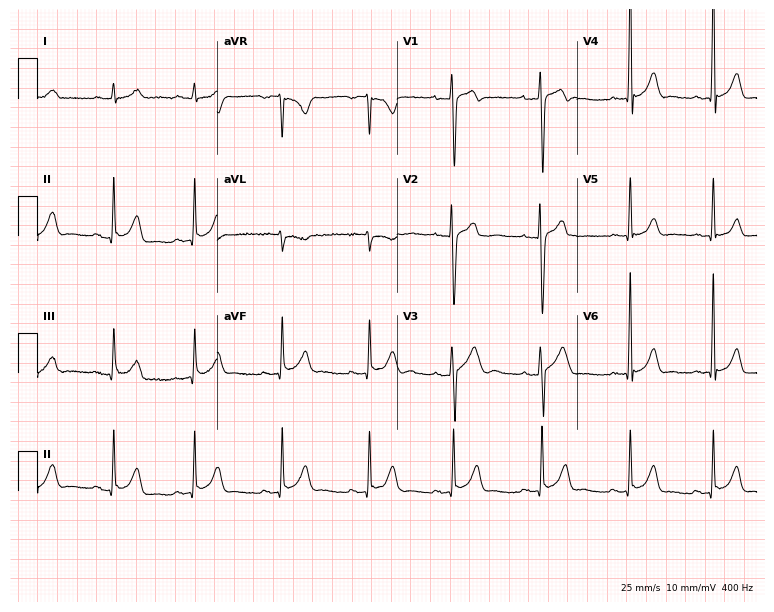
Electrocardiogram, a 20-year-old man. Overall reading on record: normal ECG.